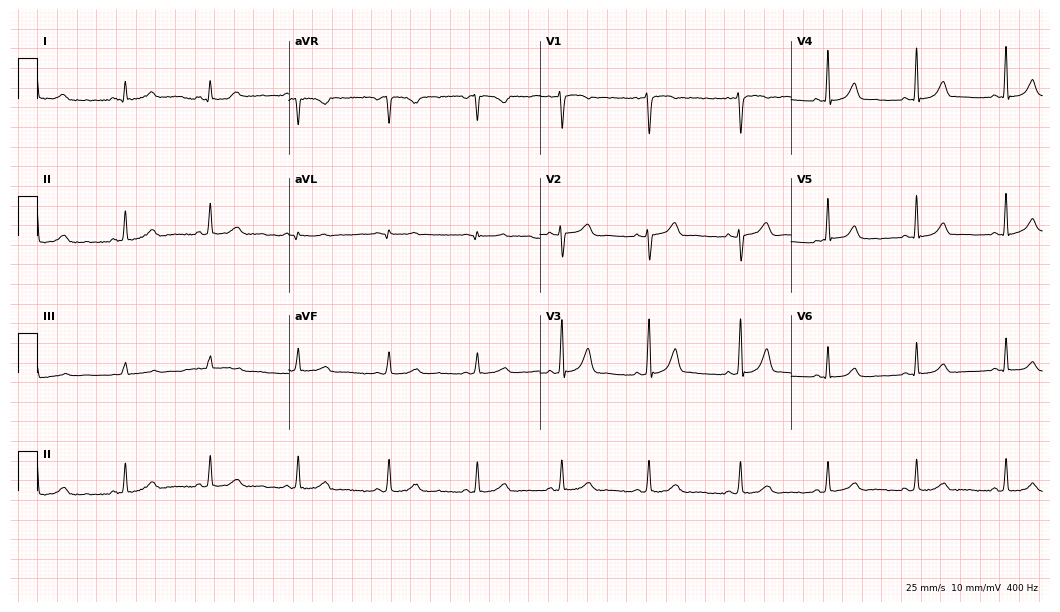
Standard 12-lead ECG recorded from a woman, 27 years old. Read as a normal ECG.